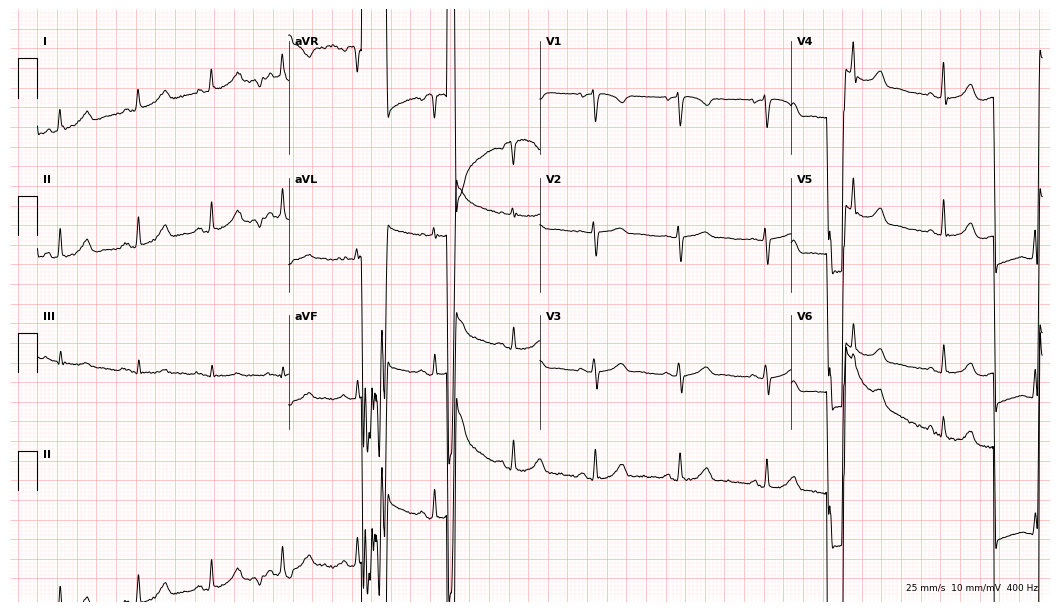
12-lead ECG from a 51-year-old female (10.2-second recording at 400 Hz). No first-degree AV block, right bundle branch block (RBBB), left bundle branch block (LBBB), sinus bradycardia, atrial fibrillation (AF) or sinus tachycardia recorded for this tracing. Findings outside these six are not listed.